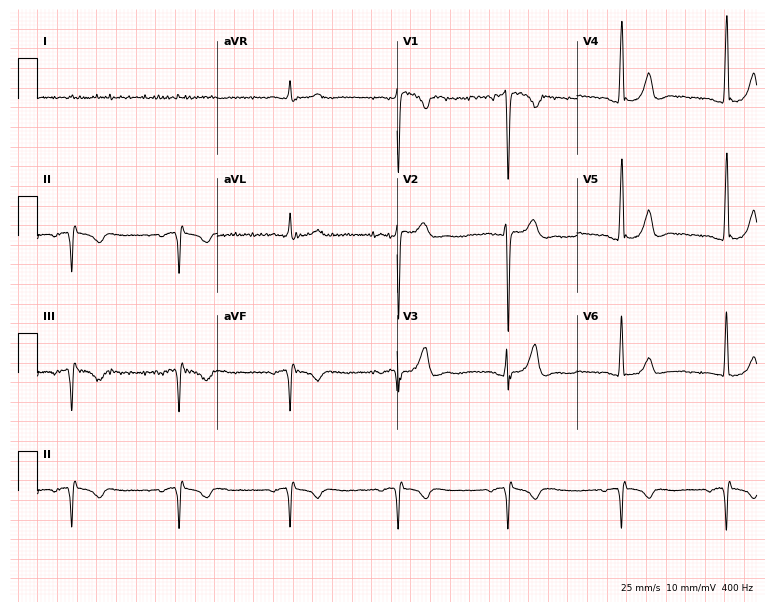
Standard 12-lead ECG recorded from a 44-year-old male (7.3-second recording at 400 Hz). None of these six findings is recorded: first-degree AV block, right bundle branch block, left bundle branch block, sinus bradycardia, atrial fibrillation, sinus tachycardia. Findings outside these six are not listed.